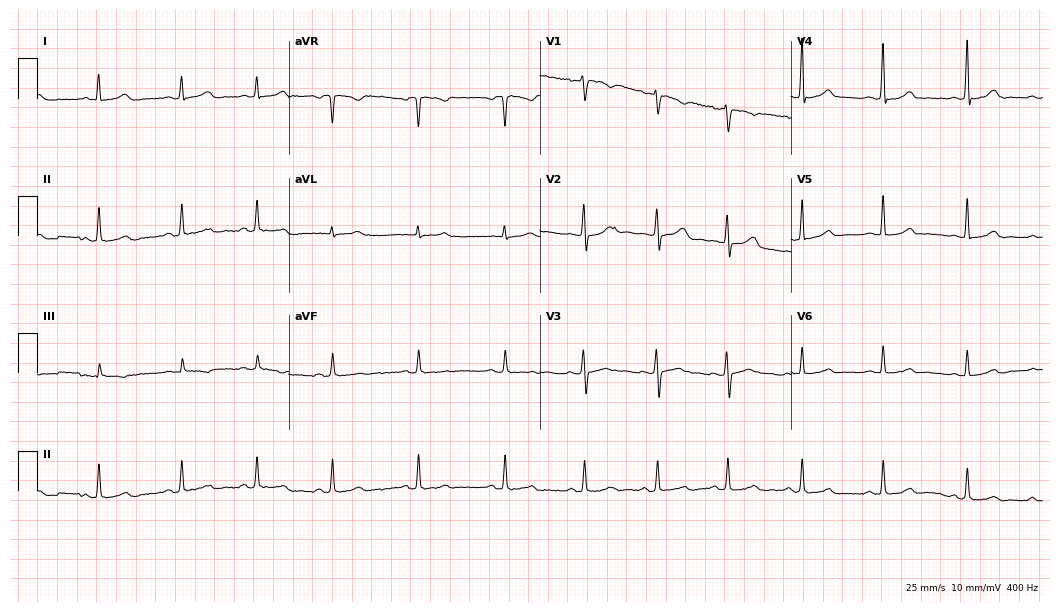
Resting 12-lead electrocardiogram. Patient: a female, 28 years old. Read as a normal ECG.